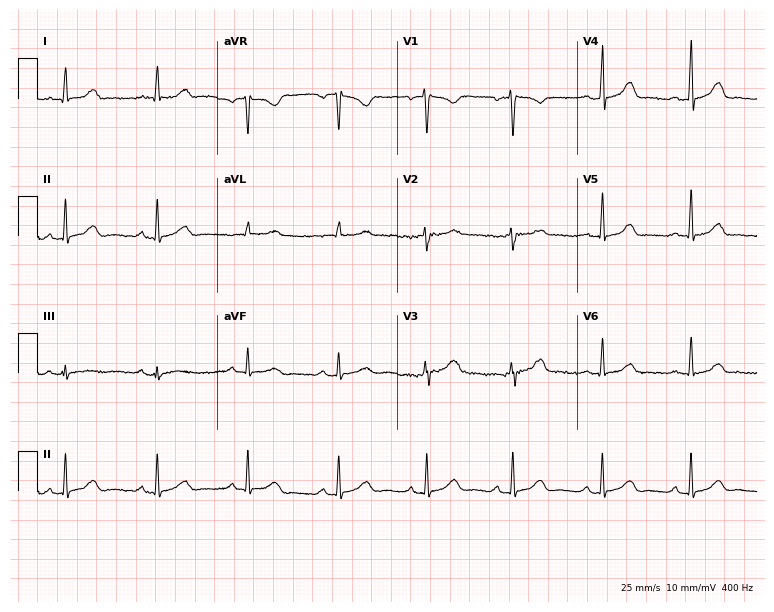
Electrocardiogram (7.3-second recording at 400 Hz), a woman, 32 years old. Overall reading on record: normal ECG.